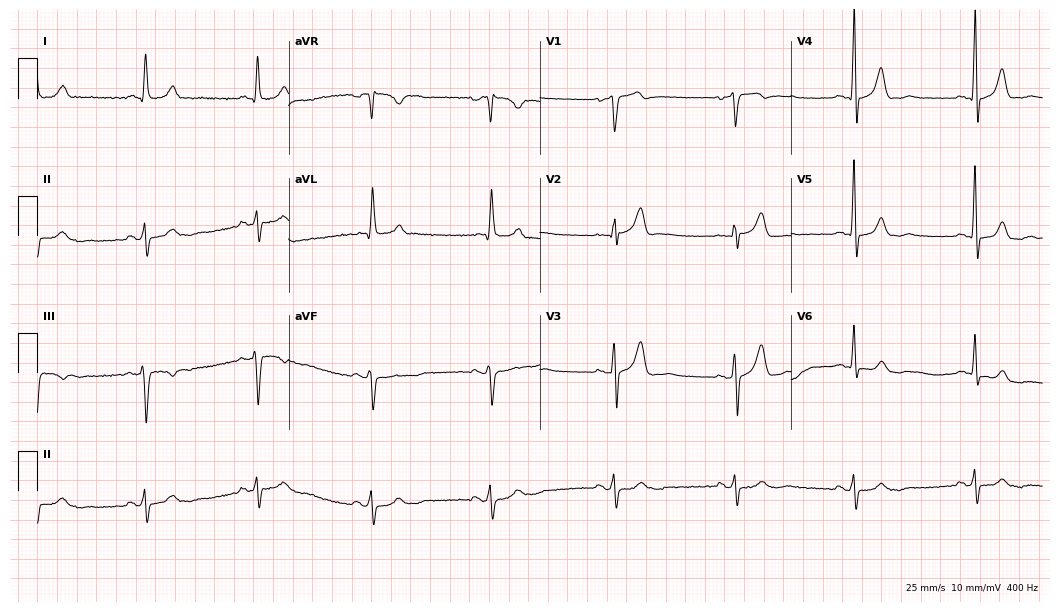
12-lead ECG from a male patient, 75 years old (10.2-second recording at 400 Hz). No first-degree AV block, right bundle branch block (RBBB), left bundle branch block (LBBB), sinus bradycardia, atrial fibrillation (AF) or sinus tachycardia recorded for this tracing.